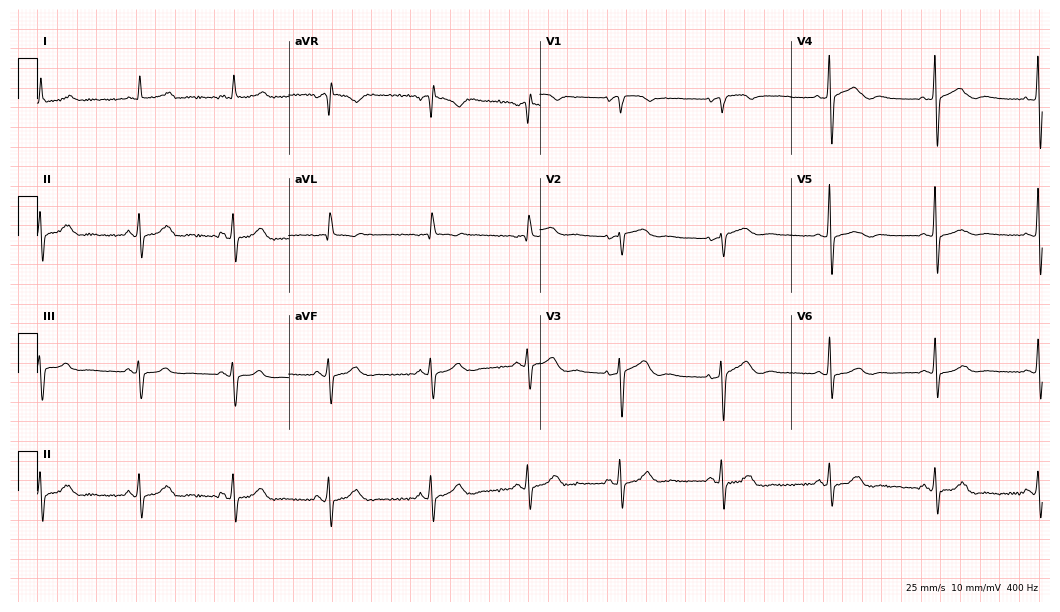
Resting 12-lead electrocardiogram. Patient: a woman, 80 years old. Read as a normal ECG.